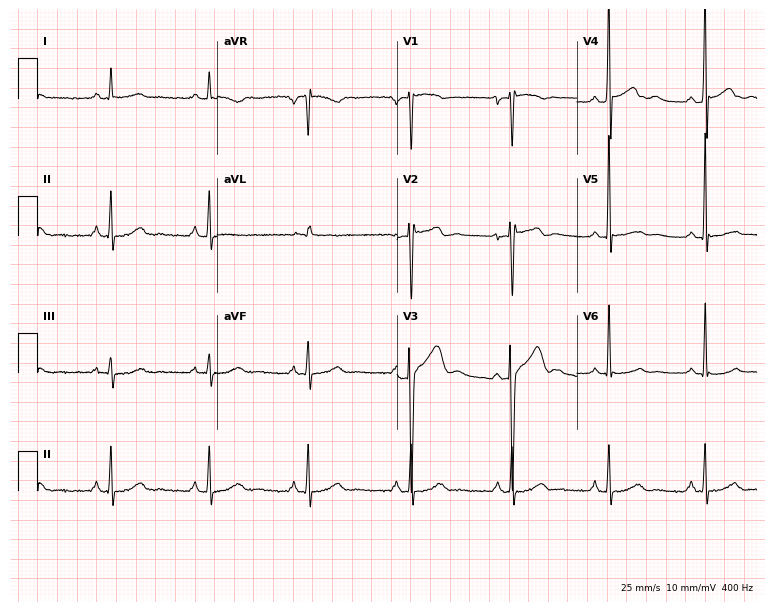
Standard 12-lead ECG recorded from a male patient, 55 years old (7.3-second recording at 400 Hz). None of these six findings is recorded: first-degree AV block, right bundle branch block, left bundle branch block, sinus bradycardia, atrial fibrillation, sinus tachycardia.